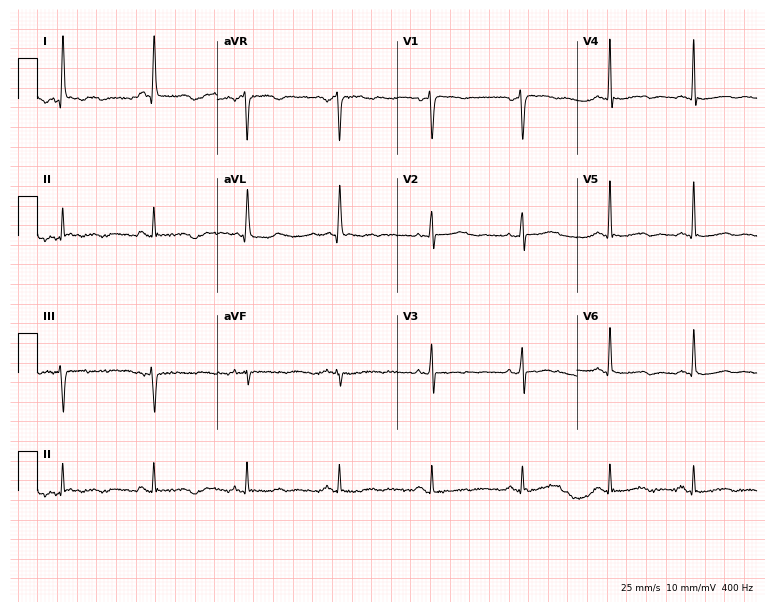
12-lead ECG from a female, 70 years old (7.3-second recording at 400 Hz). No first-degree AV block, right bundle branch block (RBBB), left bundle branch block (LBBB), sinus bradycardia, atrial fibrillation (AF) or sinus tachycardia recorded for this tracing.